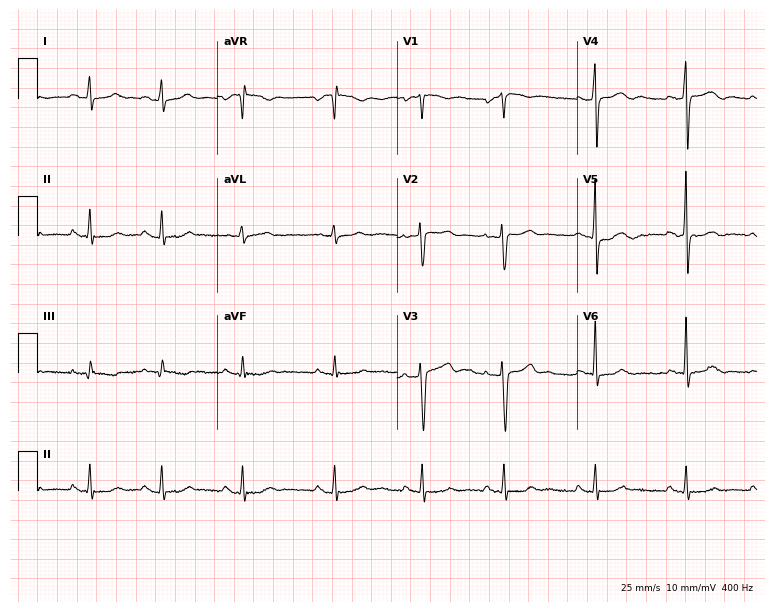
ECG — a female, 31 years old. Labelled as a normal ECG.